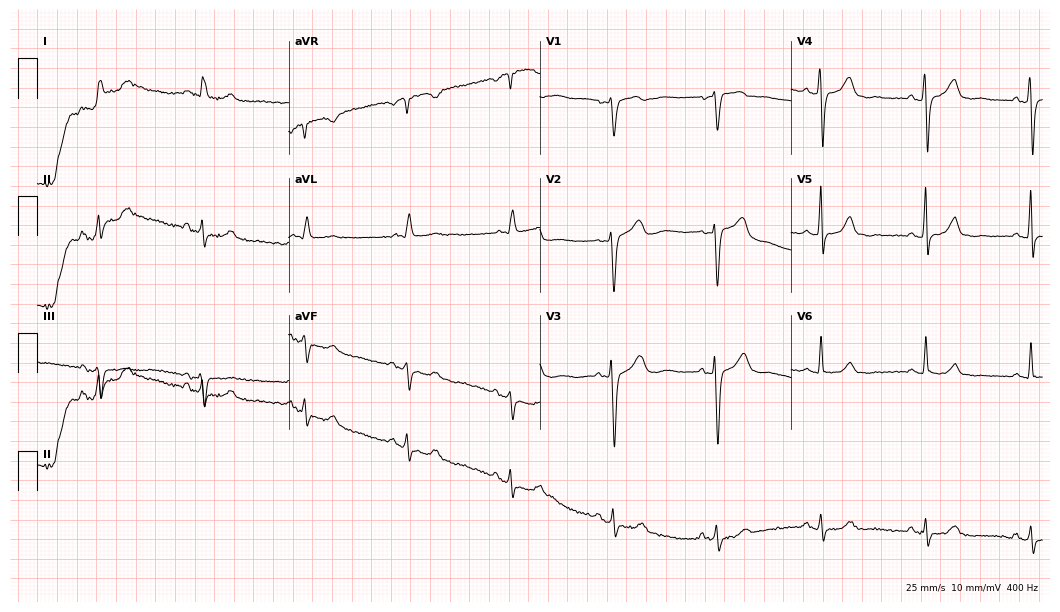
Electrocardiogram (10.2-second recording at 400 Hz), a 78-year-old female. Of the six screened findings (first-degree AV block, right bundle branch block (RBBB), left bundle branch block (LBBB), sinus bradycardia, atrial fibrillation (AF), sinus tachycardia), none is recorded. Other findings, if any, are not listed.